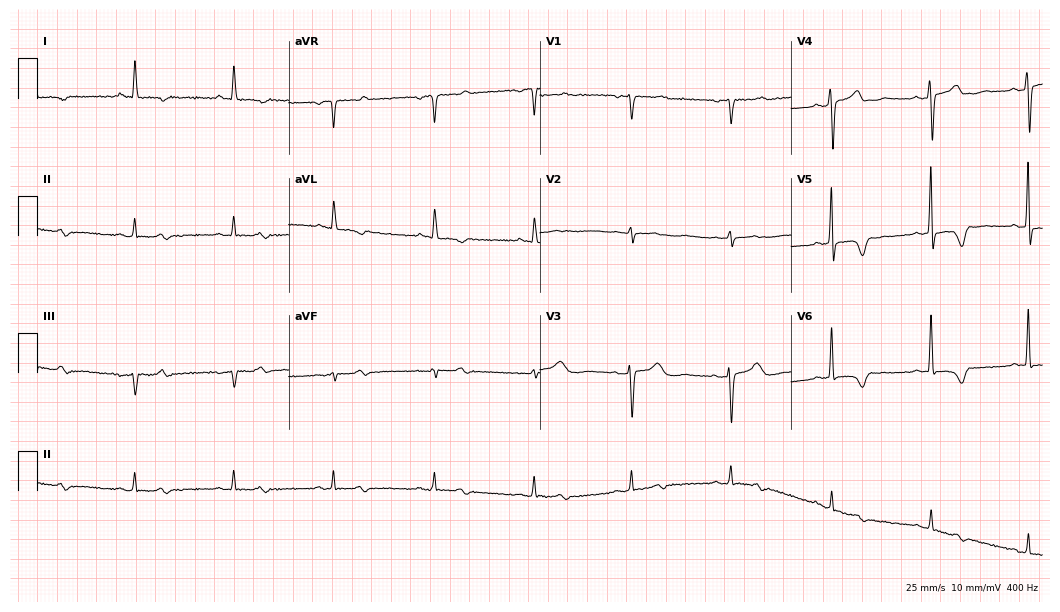
Electrocardiogram, a female patient, 78 years old. Of the six screened findings (first-degree AV block, right bundle branch block, left bundle branch block, sinus bradycardia, atrial fibrillation, sinus tachycardia), none is recorded.